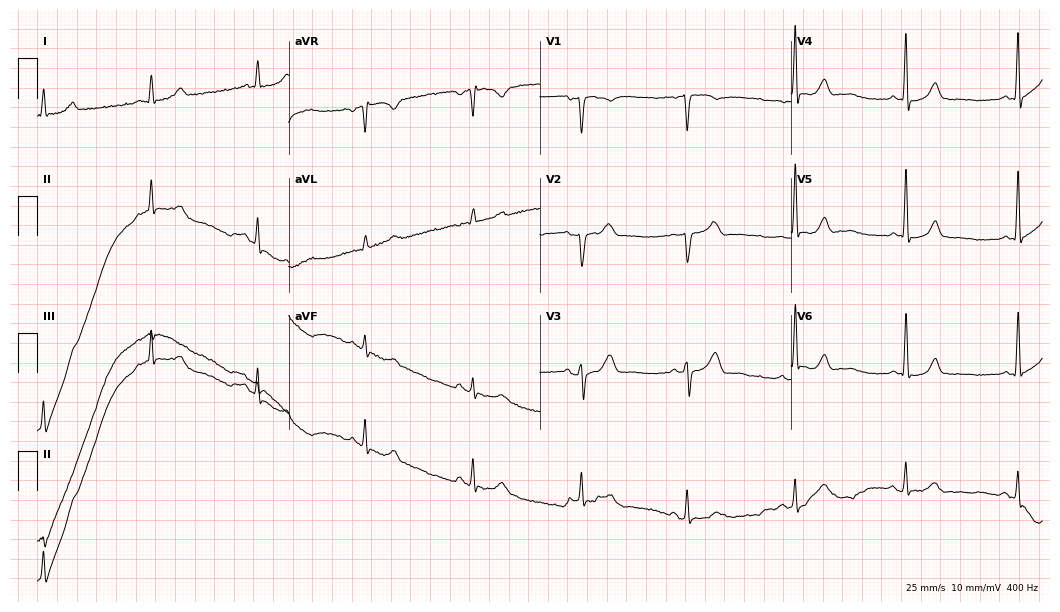
ECG — a male, 61 years old. Screened for six findings — first-degree AV block, right bundle branch block, left bundle branch block, sinus bradycardia, atrial fibrillation, sinus tachycardia — none is recorded. Findings outside these six are not listed.